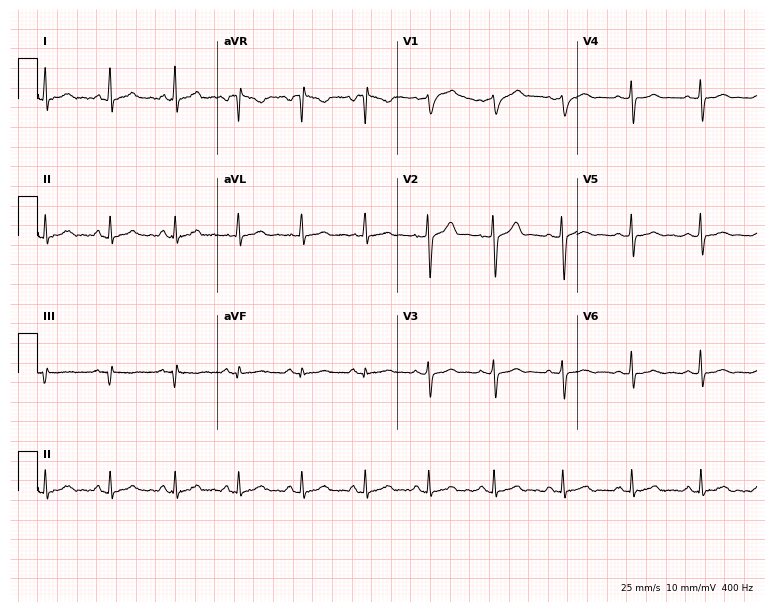
Standard 12-lead ECG recorded from a 31-year-old male (7.3-second recording at 400 Hz). Read as a normal ECG.